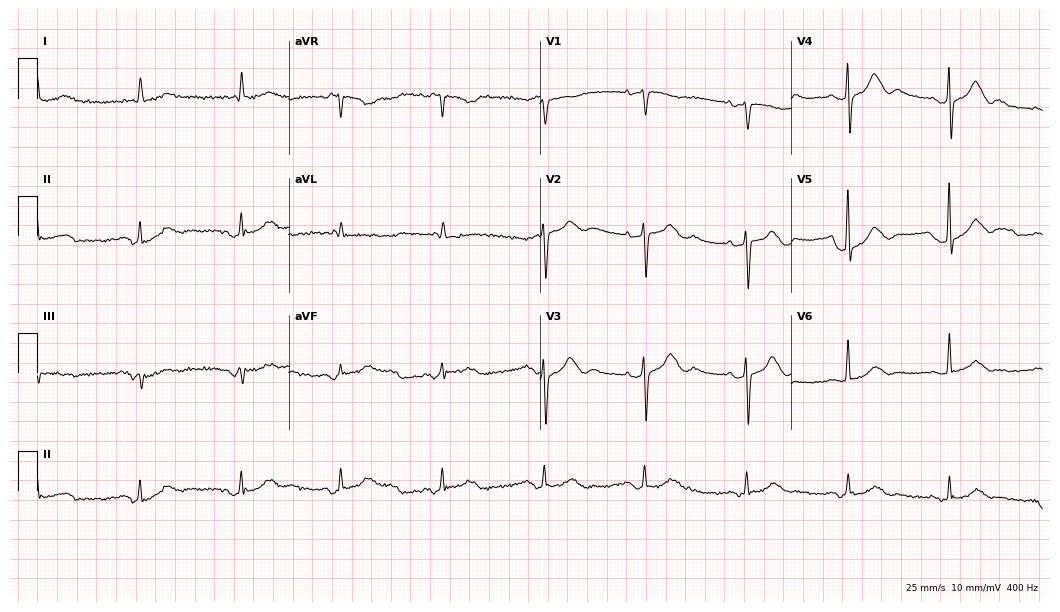
Resting 12-lead electrocardiogram. Patient: an 81-year-old woman. None of these six findings is recorded: first-degree AV block, right bundle branch block, left bundle branch block, sinus bradycardia, atrial fibrillation, sinus tachycardia. Only these six findings were labelled.